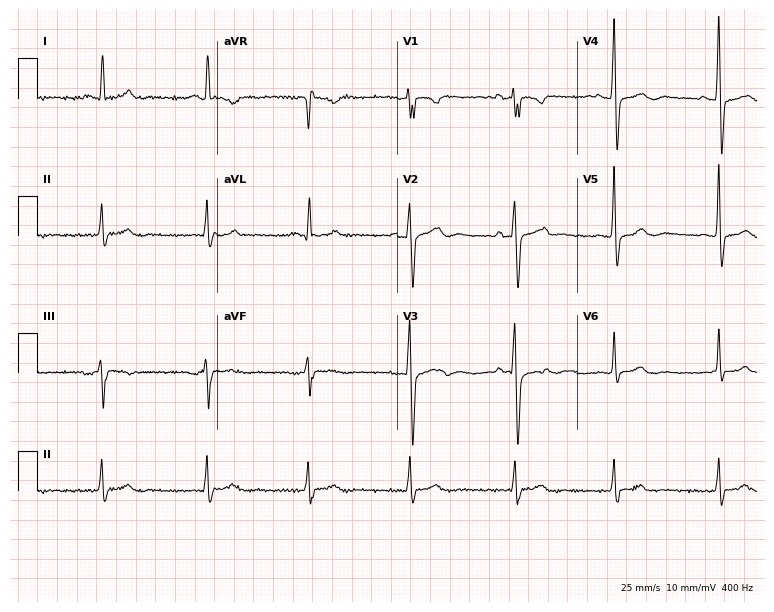
Electrocardiogram (7.3-second recording at 400 Hz), a 69-year-old man. Overall reading on record: normal ECG.